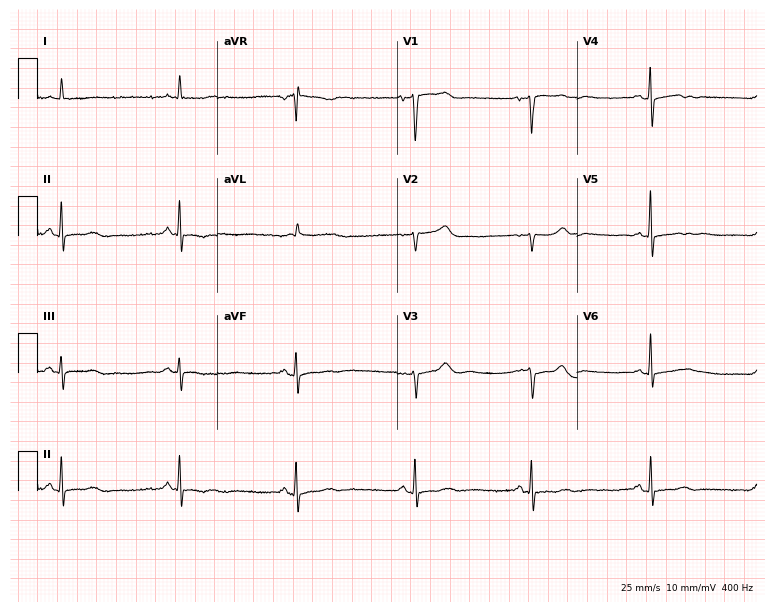
Electrocardiogram (7.3-second recording at 400 Hz), an 83-year-old female patient. Overall reading on record: normal ECG.